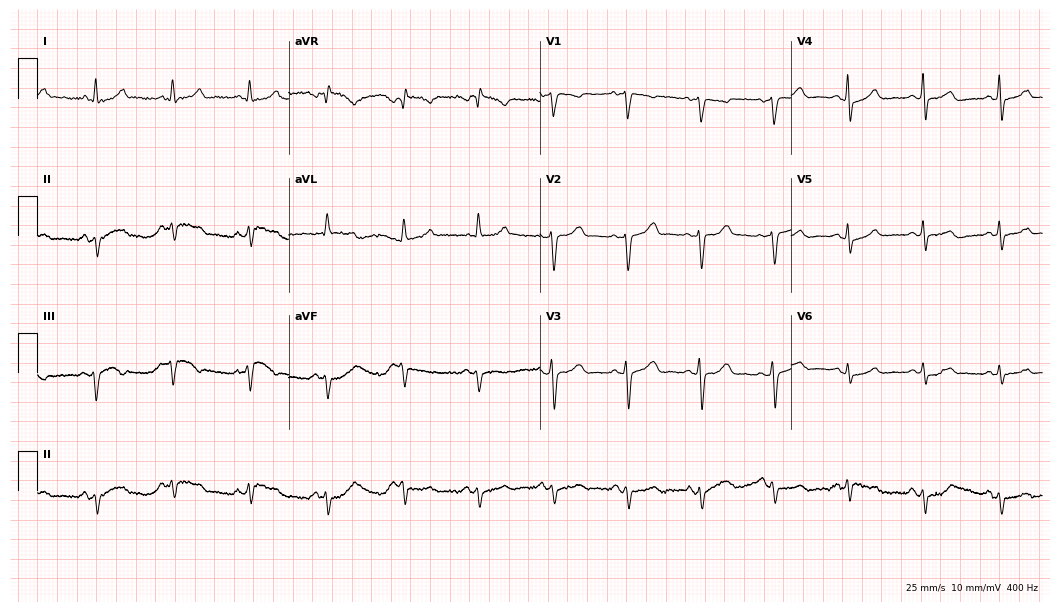
Resting 12-lead electrocardiogram. Patient: a 48-year-old female. None of these six findings is recorded: first-degree AV block, right bundle branch block (RBBB), left bundle branch block (LBBB), sinus bradycardia, atrial fibrillation (AF), sinus tachycardia. Findings outside these six are not listed.